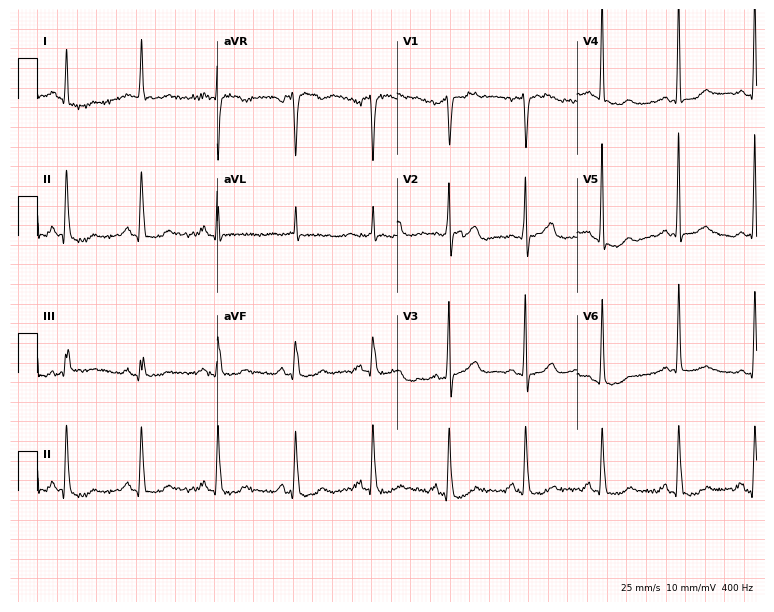
Standard 12-lead ECG recorded from a 70-year-old woman (7.3-second recording at 400 Hz). None of these six findings is recorded: first-degree AV block, right bundle branch block, left bundle branch block, sinus bradycardia, atrial fibrillation, sinus tachycardia.